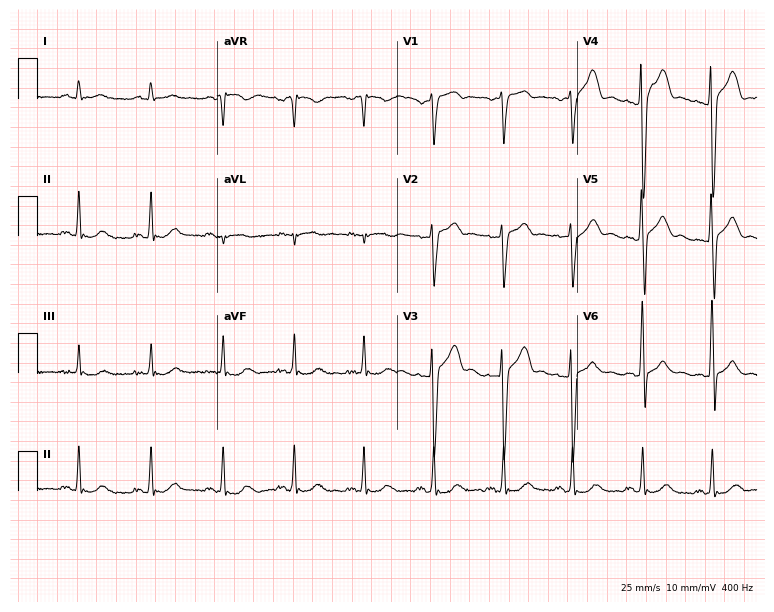
ECG (7.3-second recording at 400 Hz) — a male patient, 45 years old. Screened for six findings — first-degree AV block, right bundle branch block (RBBB), left bundle branch block (LBBB), sinus bradycardia, atrial fibrillation (AF), sinus tachycardia — none is recorded. Other findings, if any, are not listed.